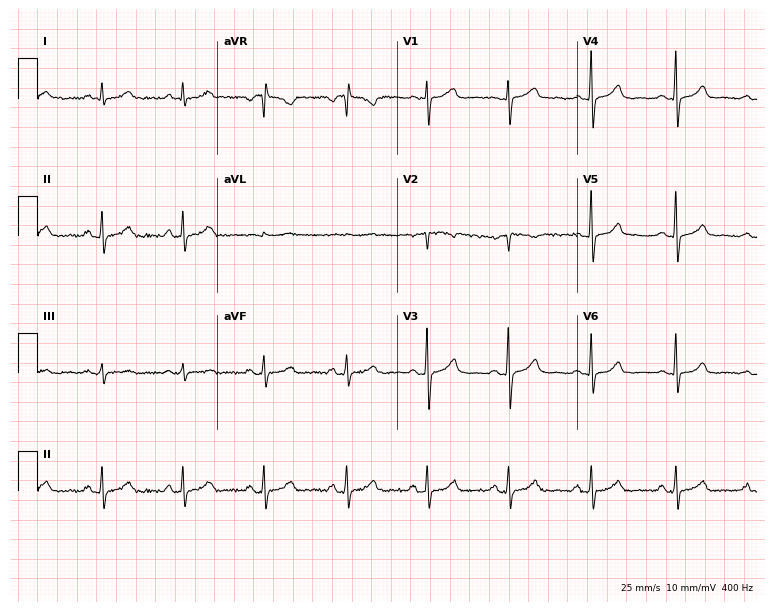
ECG — a 54-year-old female patient. Labelled as a normal ECG.